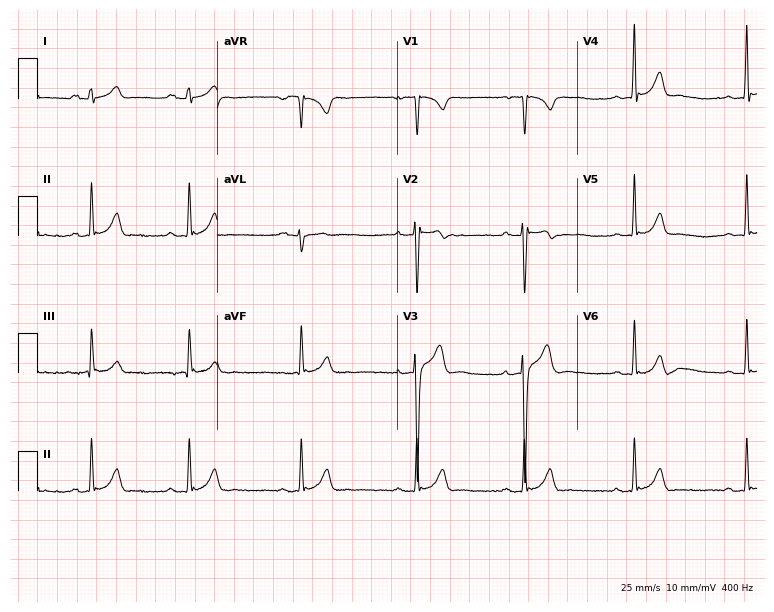
12-lead ECG (7.3-second recording at 400 Hz) from a male patient, 21 years old. Labelled as a normal ECG.